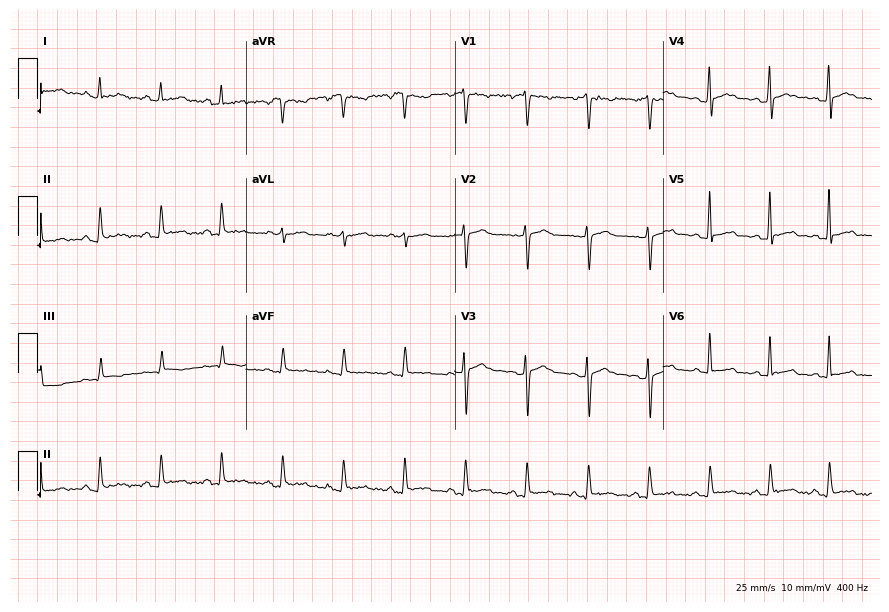
Resting 12-lead electrocardiogram. Patient: a 44-year-old female. Read as a normal ECG.